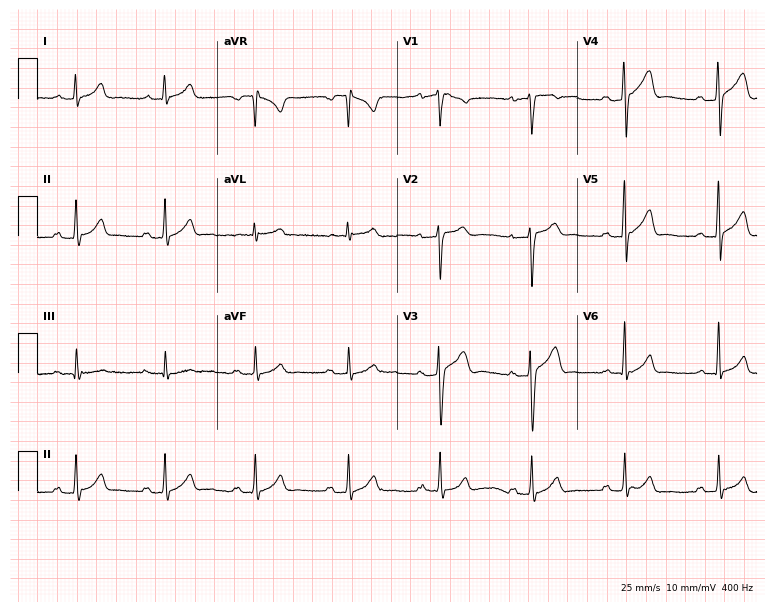
12-lead ECG (7.3-second recording at 400 Hz) from a man, 35 years old. Labelled as a normal ECG.